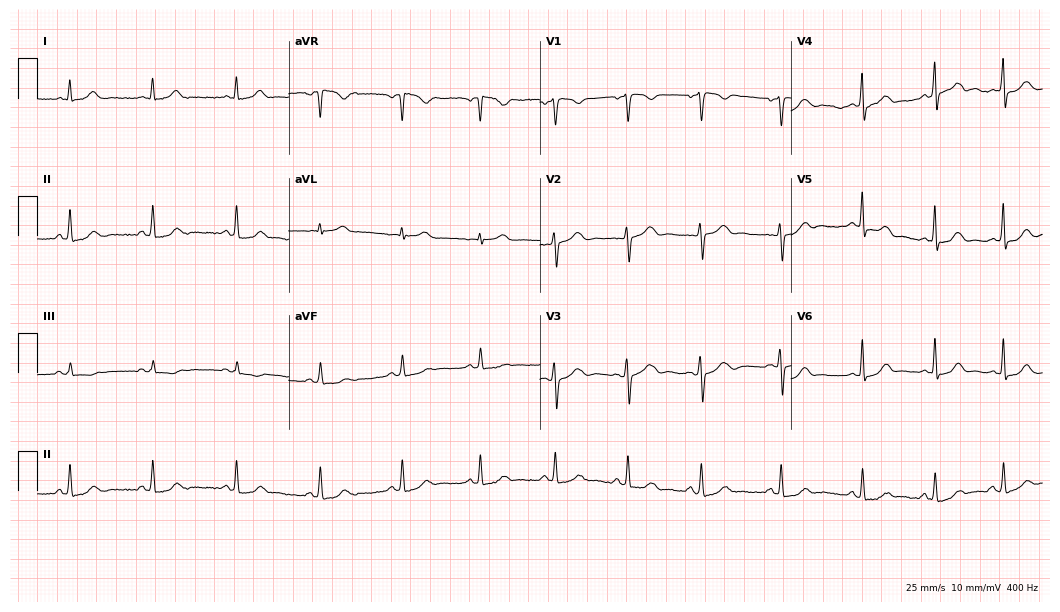
ECG (10.2-second recording at 400 Hz) — a 40-year-old woman. Labelled as a normal ECG.